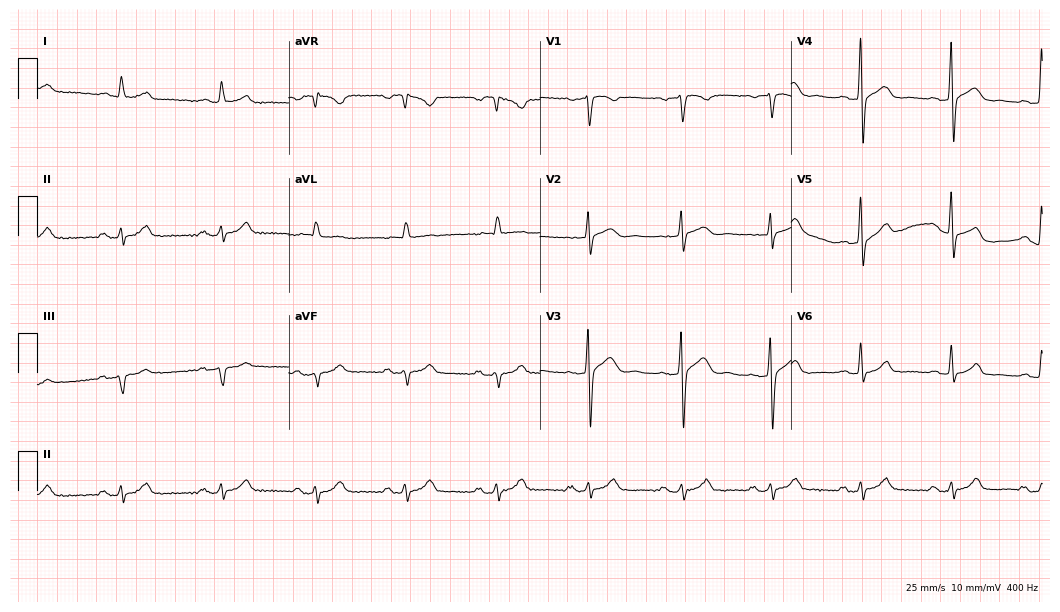
12-lead ECG from a 48-year-old male patient. Screened for six findings — first-degree AV block, right bundle branch block, left bundle branch block, sinus bradycardia, atrial fibrillation, sinus tachycardia — none is recorded. Findings outside these six are not listed.